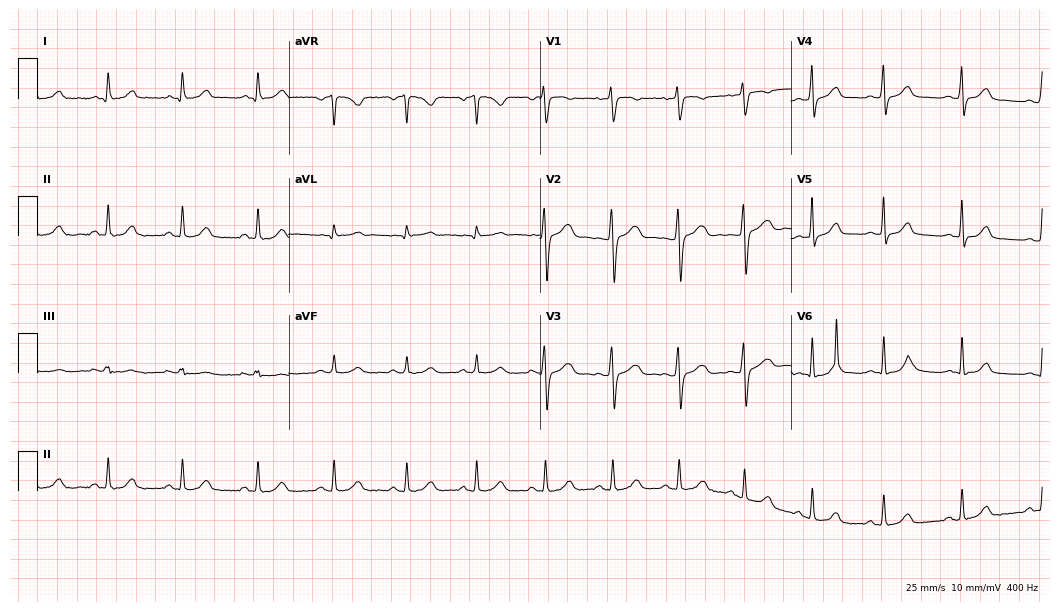
12-lead ECG from a 31-year-old woman. Labelled as a normal ECG.